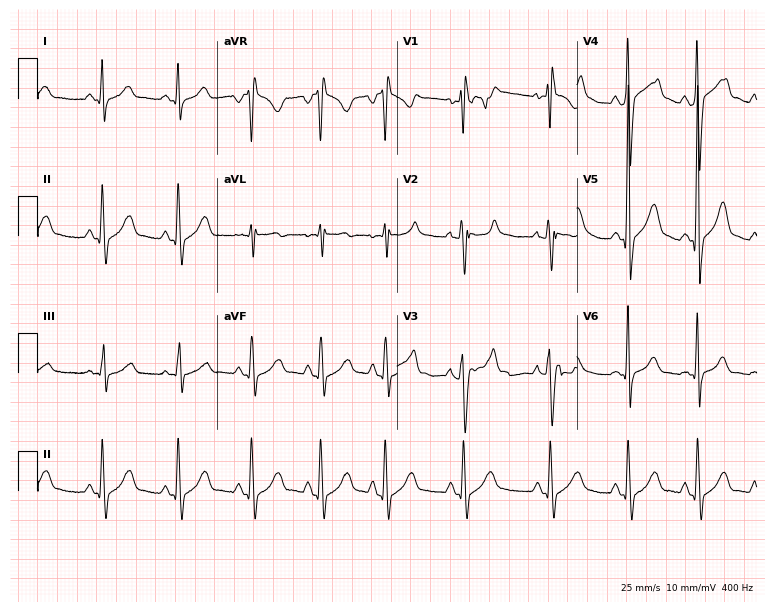
12-lead ECG from a male patient, 28 years old. Screened for six findings — first-degree AV block, right bundle branch block, left bundle branch block, sinus bradycardia, atrial fibrillation, sinus tachycardia — none is recorded. Findings outside these six are not listed.